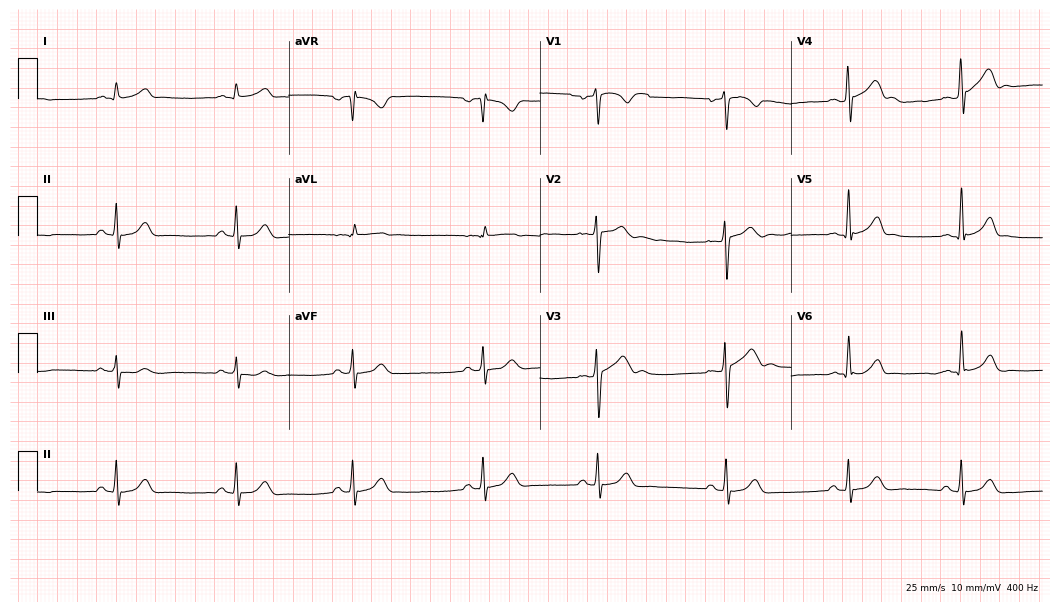
Resting 12-lead electrocardiogram (10.2-second recording at 400 Hz). Patient: a 23-year-old male. The tracing shows sinus bradycardia (a sinus rate of 50 beats per minute or less).